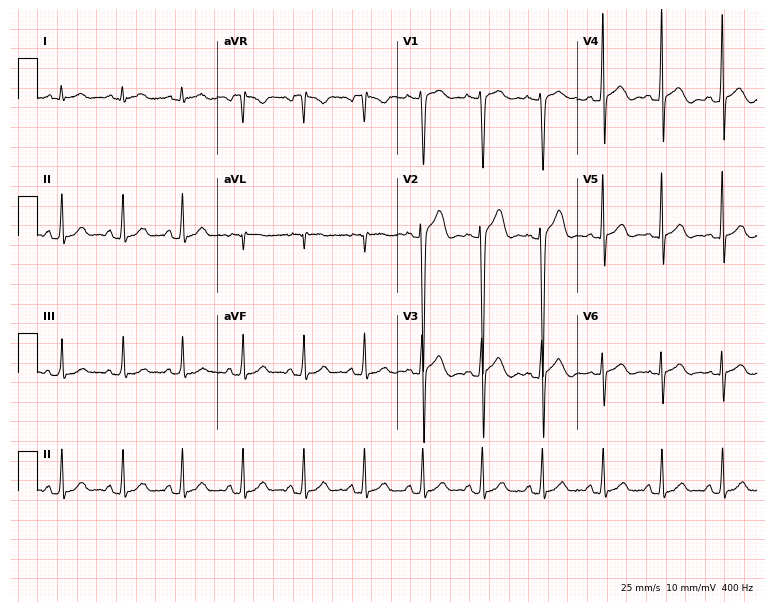
Resting 12-lead electrocardiogram (7.3-second recording at 400 Hz). Patient: a male, 20 years old. Read as a normal ECG.